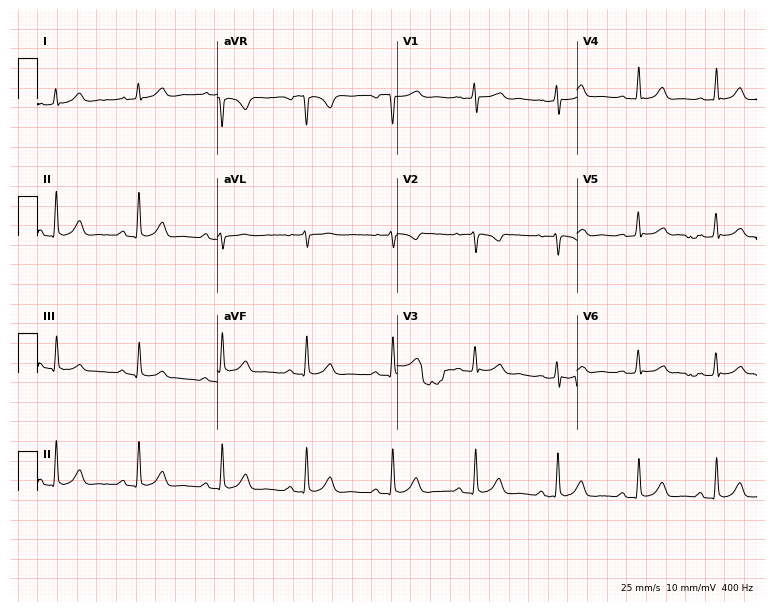
Electrocardiogram, a 24-year-old female. Of the six screened findings (first-degree AV block, right bundle branch block, left bundle branch block, sinus bradycardia, atrial fibrillation, sinus tachycardia), none is recorded. Only these six findings were labelled.